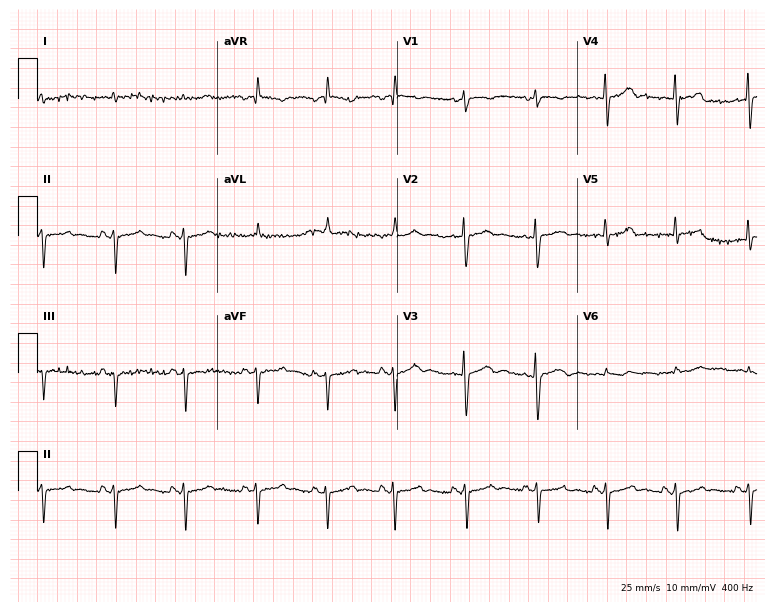
Standard 12-lead ECG recorded from a 64-year-old male. None of these six findings is recorded: first-degree AV block, right bundle branch block, left bundle branch block, sinus bradycardia, atrial fibrillation, sinus tachycardia.